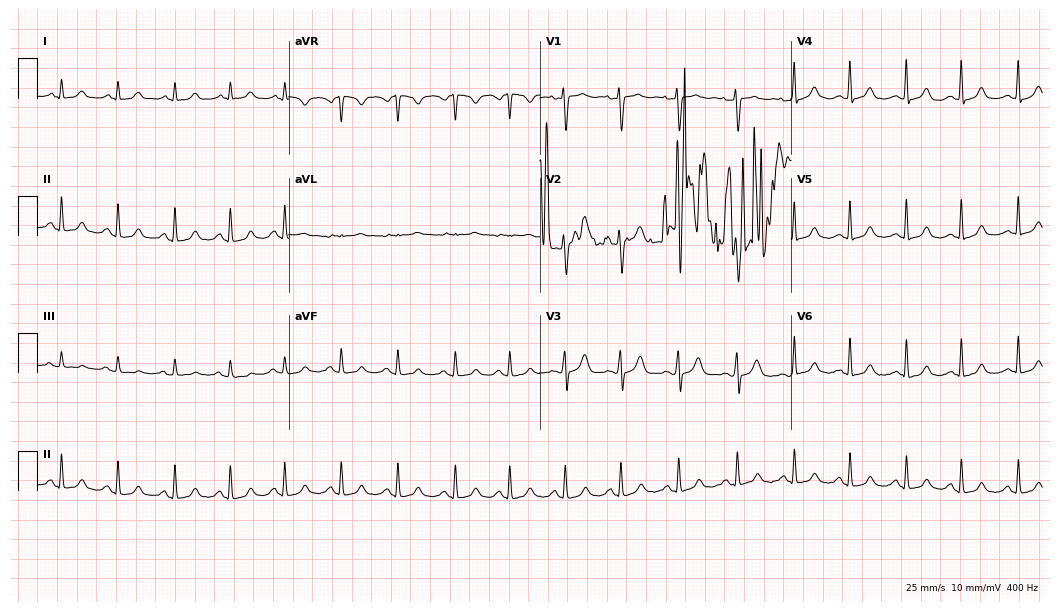
Resting 12-lead electrocardiogram (10.2-second recording at 400 Hz). Patient: a 38-year-old female. The tracing shows sinus tachycardia (a sinus rate of 100 beats per minute or more).